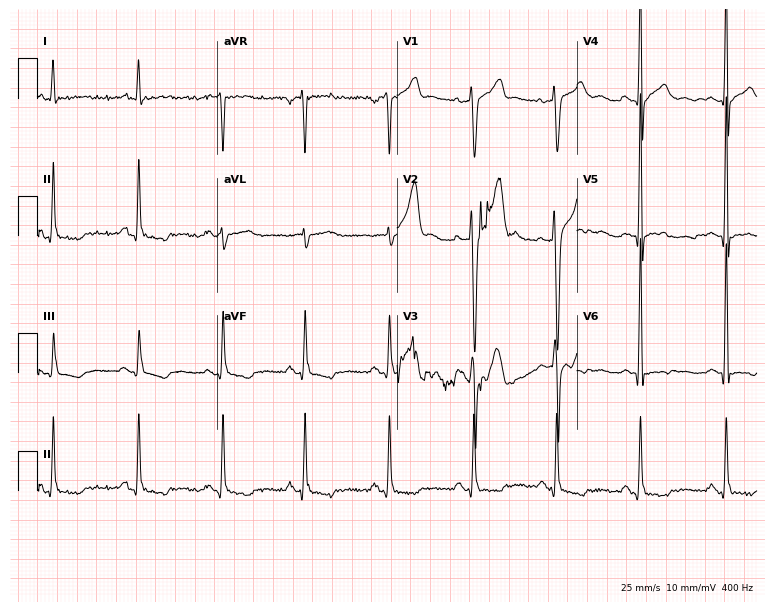
Standard 12-lead ECG recorded from a 42-year-old male patient (7.3-second recording at 400 Hz). None of these six findings is recorded: first-degree AV block, right bundle branch block, left bundle branch block, sinus bradycardia, atrial fibrillation, sinus tachycardia.